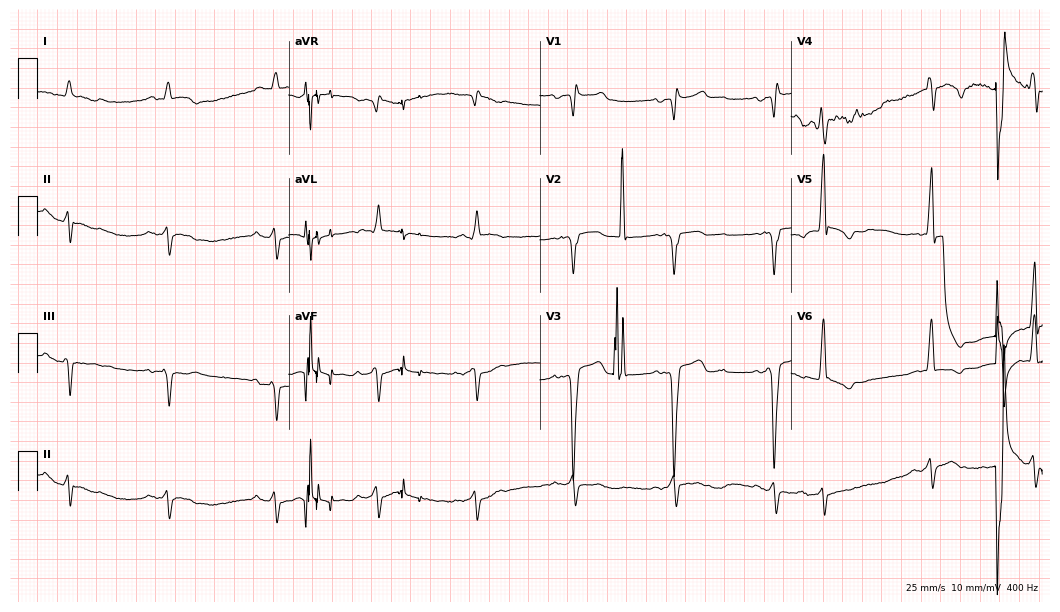
ECG — a male patient, 76 years old. Screened for six findings — first-degree AV block, right bundle branch block, left bundle branch block, sinus bradycardia, atrial fibrillation, sinus tachycardia — none is recorded.